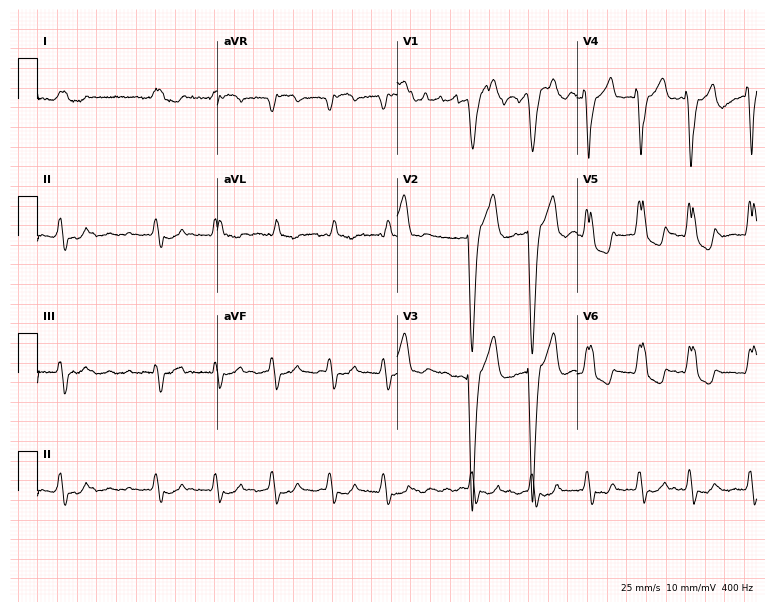
Electrocardiogram (7.3-second recording at 400 Hz), a 69-year-old male. Interpretation includes left bundle branch block, atrial fibrillation.